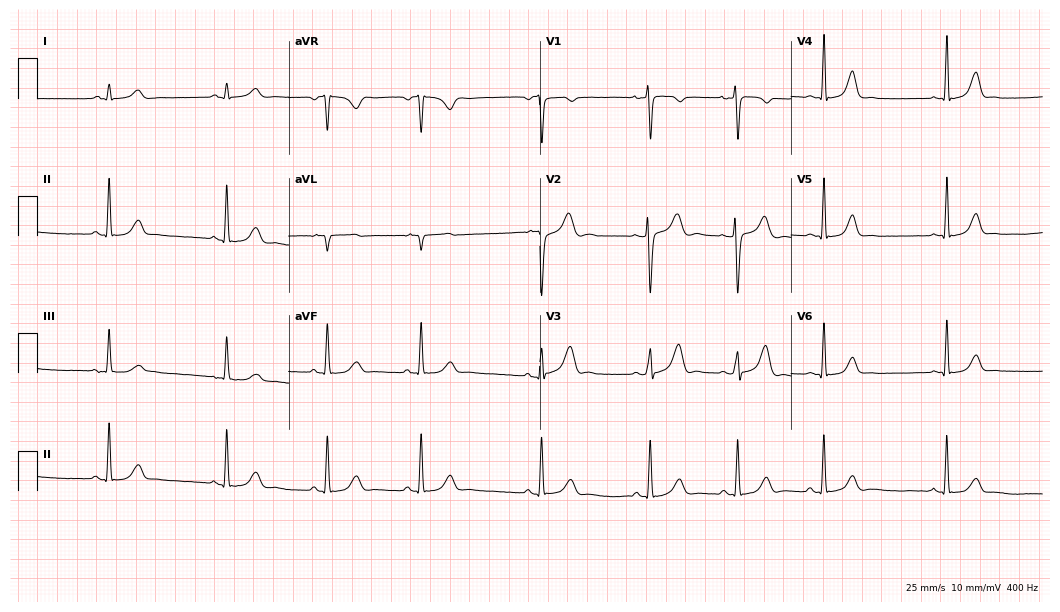
Resting 12-lead electrocardiogram. Patient: a 29-year-old female. Read as a normal ECG.